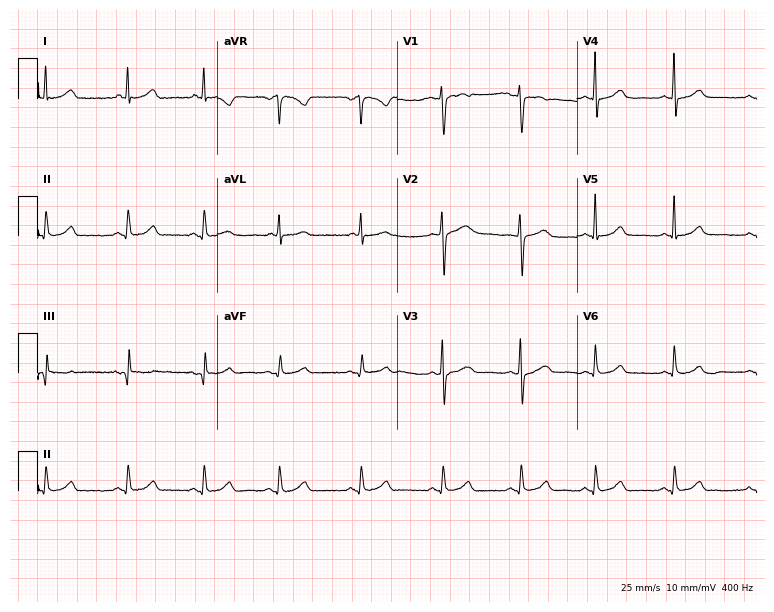
Electrocardiogram, a female, 42 years old. Overall reading on record: normal ECG.